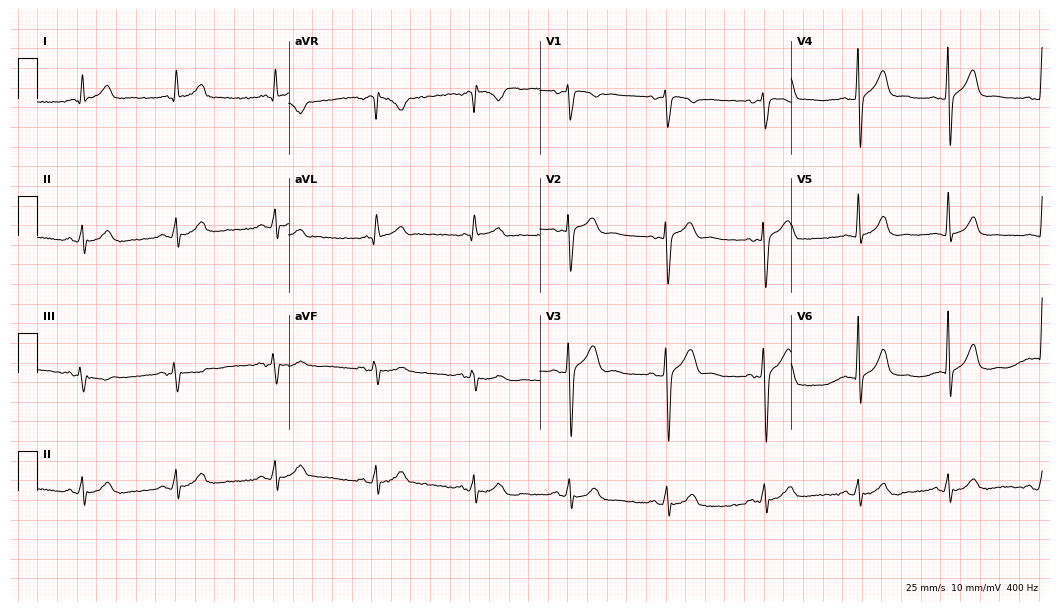
Standard 12-lead ECG recorded from a male patient, 49 years old. Read as a normal ECG.